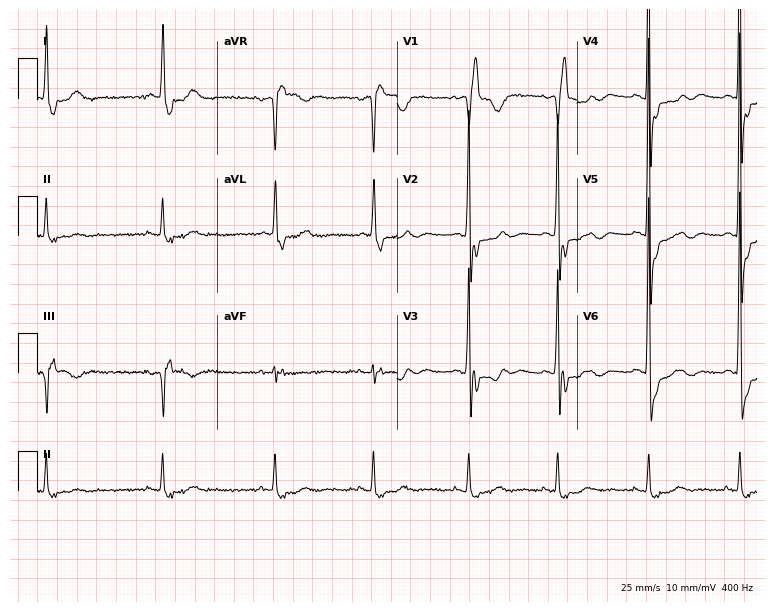
12-lead ECG (7.3-second recording at 400 Hz) from an 83-year-old female patient. Findings include right bundle branch block.